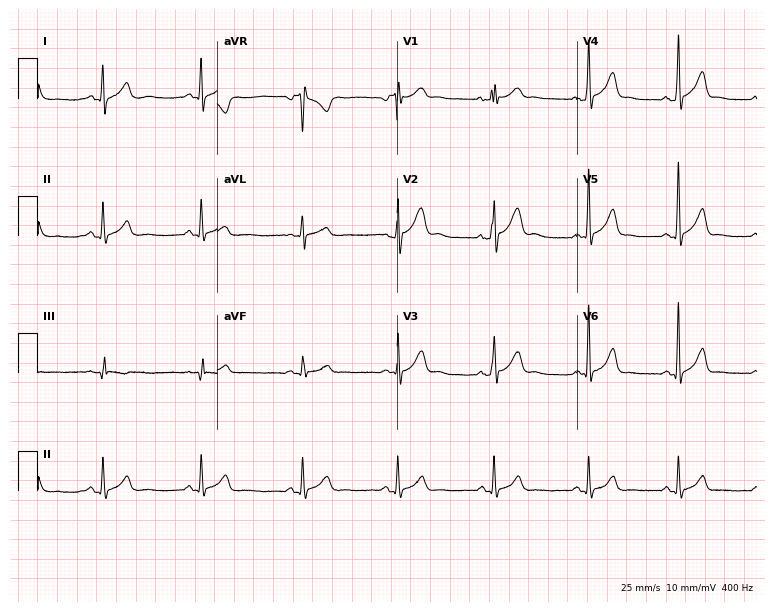
Resting 12-lead electrocardiogram (7.3-second recording at 400 Hz). Patient: a male, 46 years old. Read as a normal ECG.